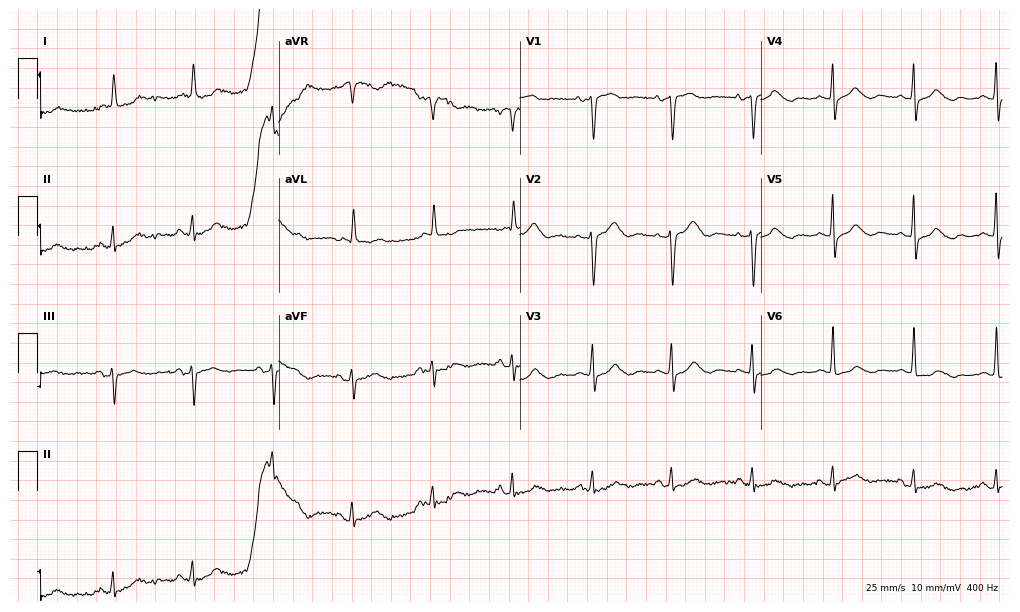
Electrocardiogram, an 83-year-old female patient. Of the six screened findings (first-degree AV block, right bundle branch block (RBBB), left bundle branch block (LBBB), sinus bradycardia, atrial fibrillation (AF), sinus tachycardia), none is recorded. Only these six findings were labelled.